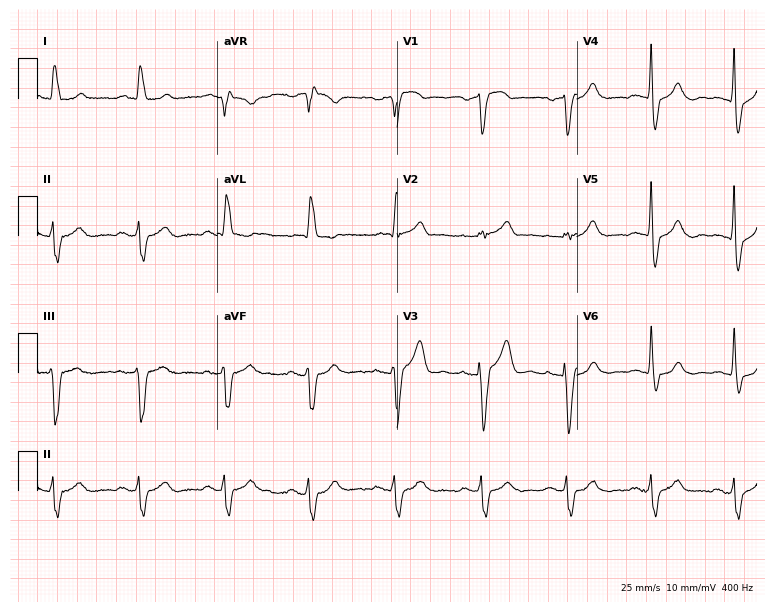
12-lead ECG from a 71-year-old man (7.3-second recording at 400 Hz). Shows left bundle branch block.